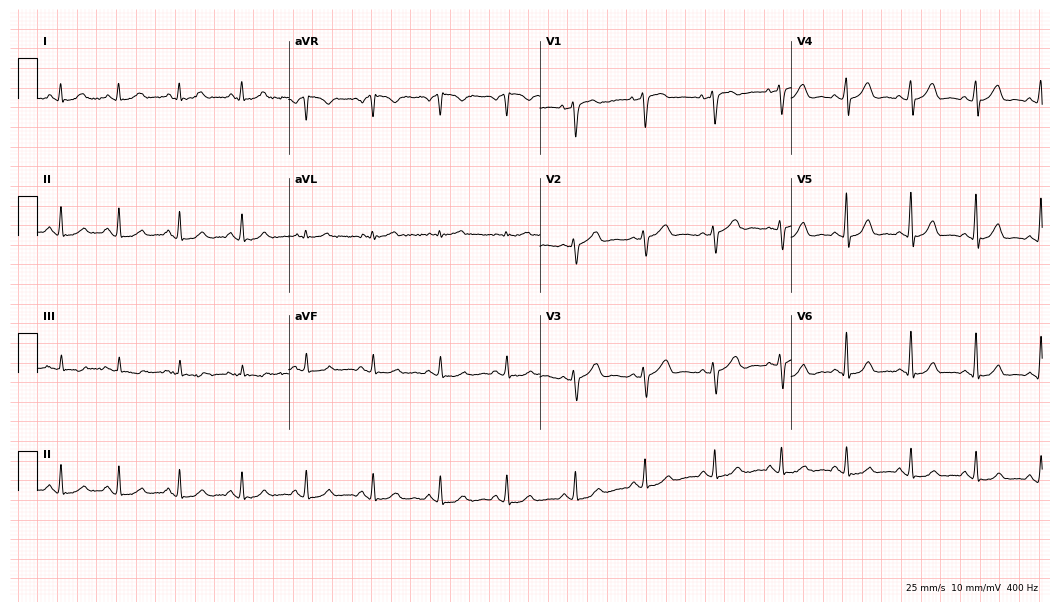
12-lead ECG (10.2-second recording at 400 Hz) from a female patient, 43 years old. Labelled as a normal ECG.